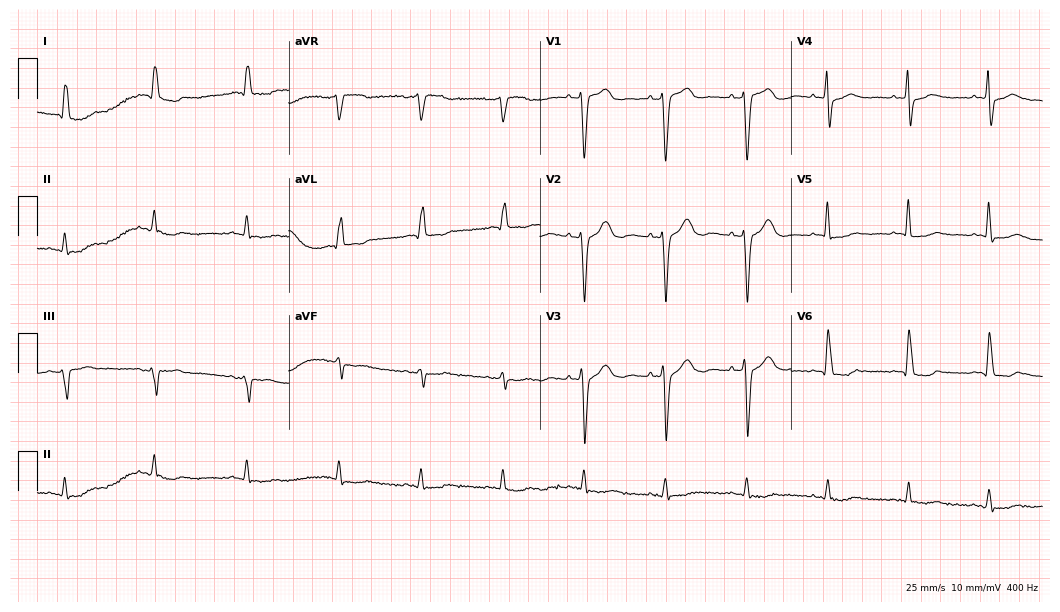
12-lead ECG from a 78-year-old male. No first-degree AV block, right bundle branch block, left bundle branch block, sinus bradycardia, atrial fibrillation or sinus tachycardia recorded for this tracing. Other findings, if any, are not listed.